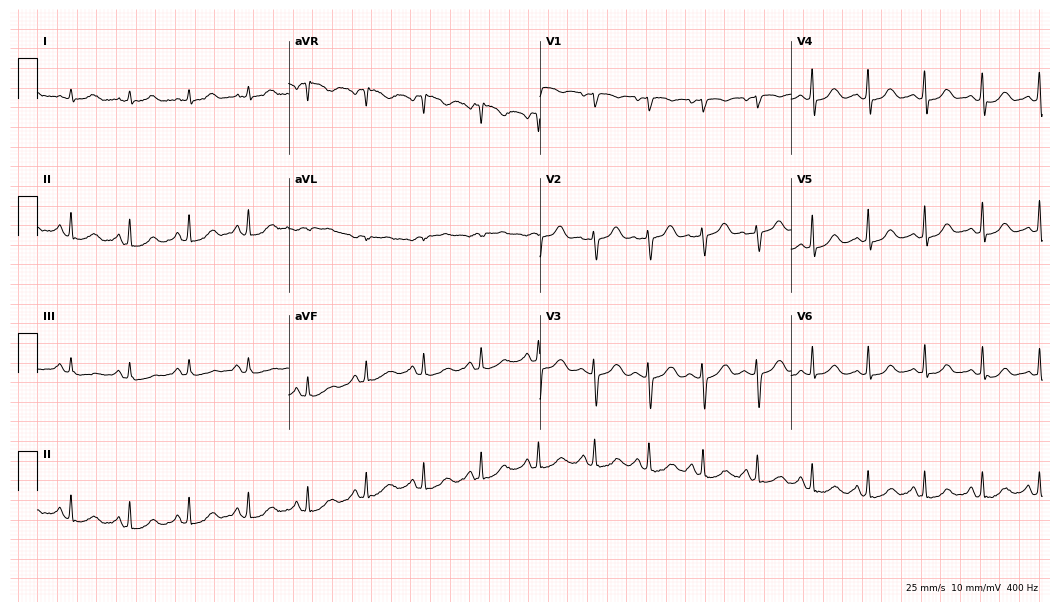
ECG (10.2-second recording at 400 Hz) — a 34-year-old female. Findings include sinus tachycardia (a sinus rate of 100 beats per minute or more).